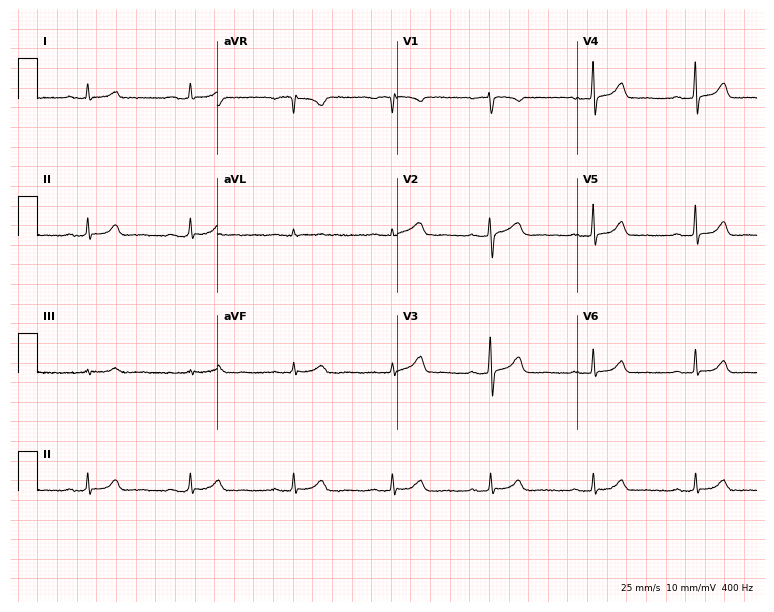
Standard 12-lead ECG recorded from a woman, 36 years old. Read as a normal ECG.